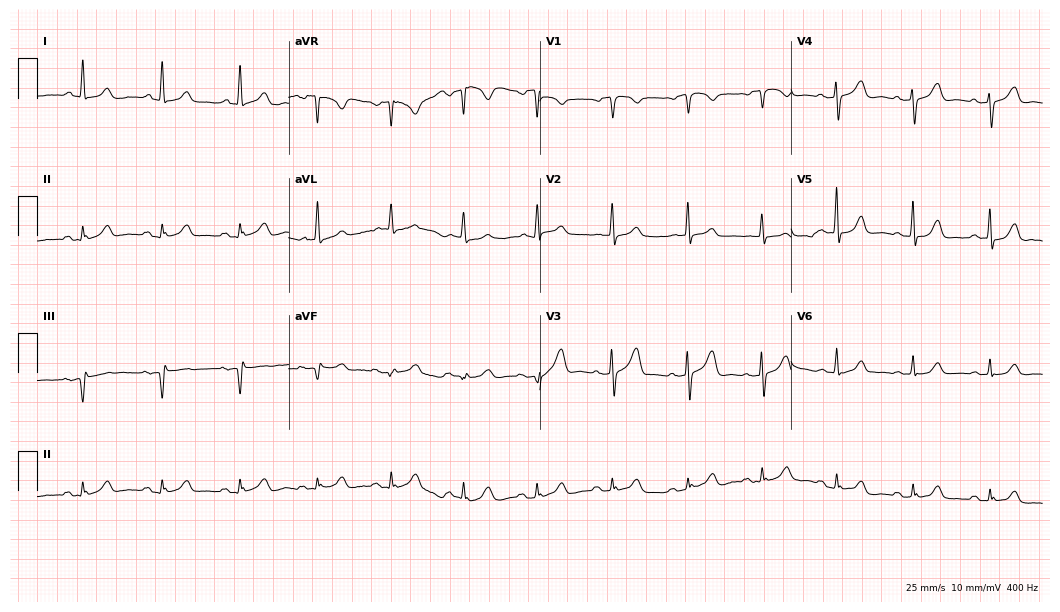
Standard 12-lead ECG recorded from a woman, 83 years old. Read as a normal ECG.